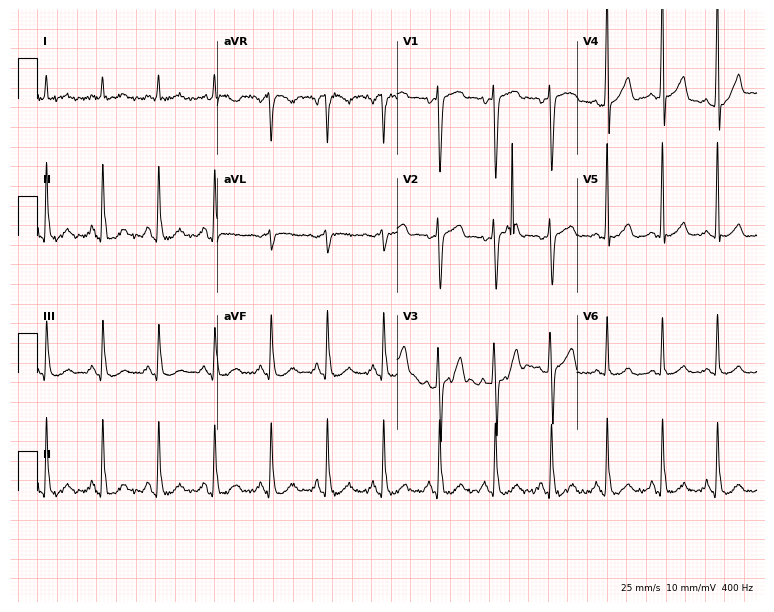
Standard 12-lead ECG recorded from a 53-year-old male patient. The tracing shows sinus tachycardia (a sinus rate of 100 beats per minute or more).